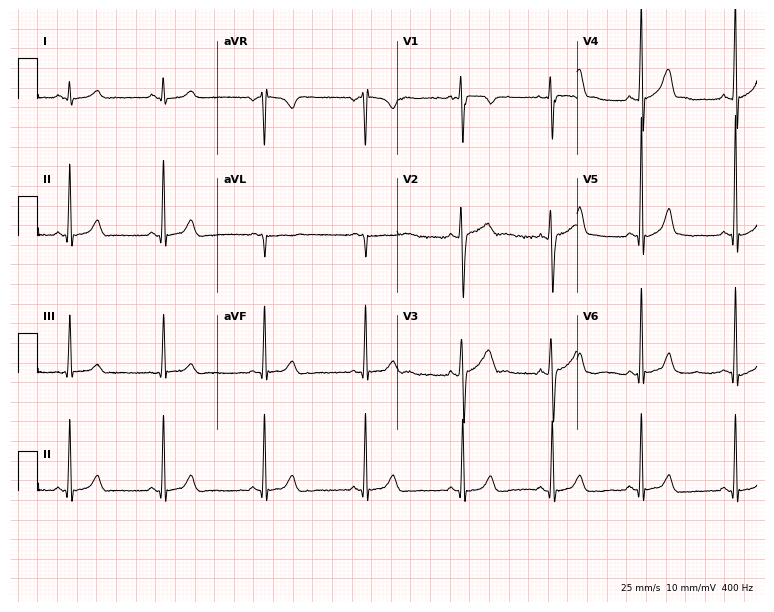
ECG (7.3-second recording at 400 Hz) — a man, 19 years old. Screened for six findings — first-degree AV block, right bundle branch block, left bundle branch block, sinus bradycardia, atrial fibrillation, sinus tachycardia — none is recorded.